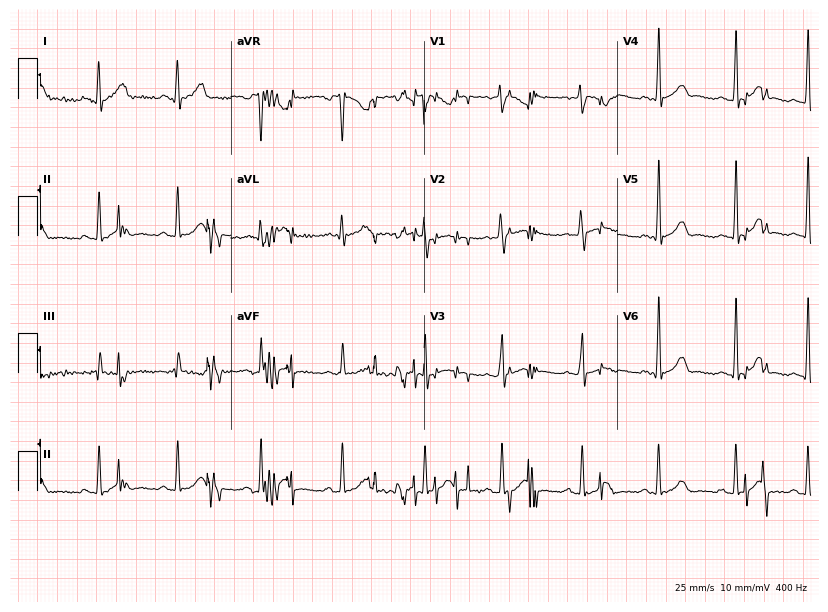
ECG — a female patient, 24 years old. Screened for six findings — first-degree AV block, right bundle branch block (RBBB), left bundle branch block (LBBB), sinus bradycardia, atrial fibrillation (AF), sinus tachycardia — none is recorded.